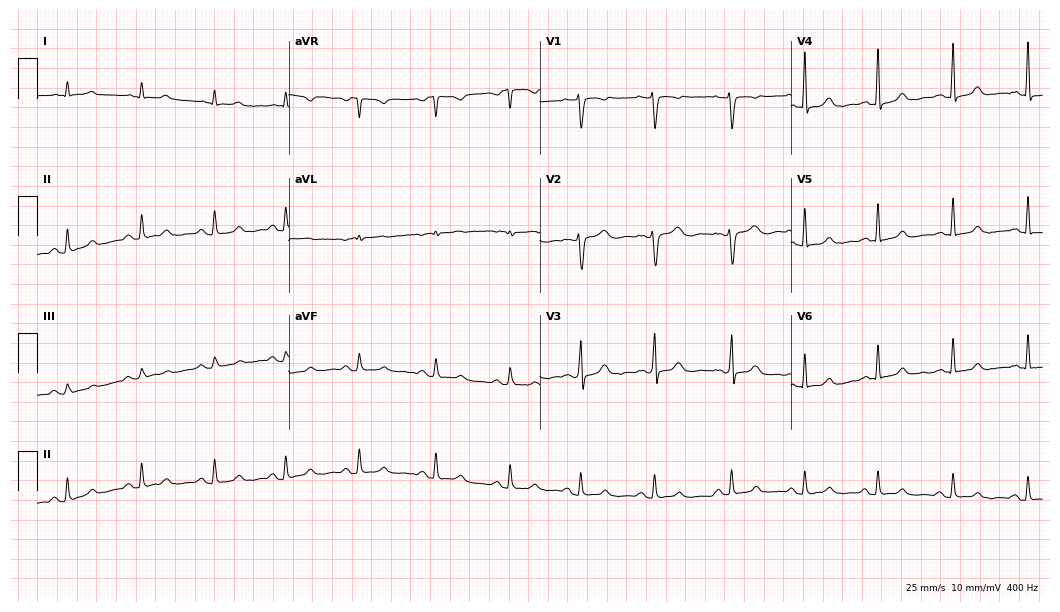
Electrocardiogram, a 44-year-old woman. Of the six screened findings (first-degree AV block, right bundle branch block (RBBB), left bundle branch block (LBBB), sinus bradycardia, atrial fibrillation (AF), sinus tachycardia), none is recorded. Only these six findings were labelled.